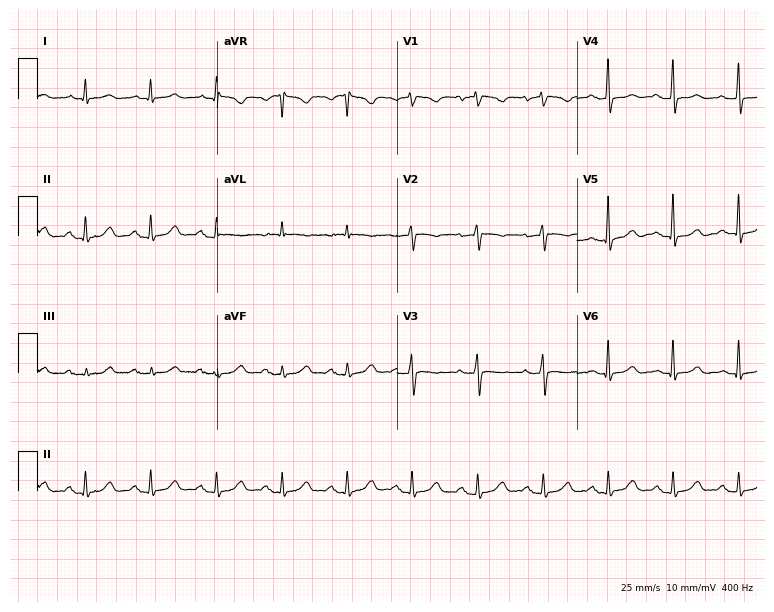
Electrocardiogram (7.3-second recording at 400 Hz), a 68-year-old woman. Overall reading on record: normal ECG.